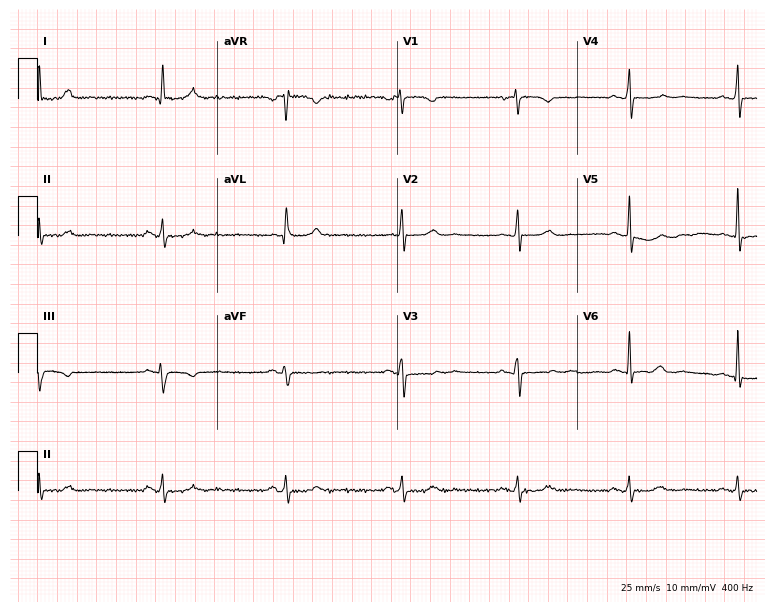
Electrocardiogram (7.3-second recording at 400 Hz), a female patient, 74 years old. Of the six screened findings (first-degree AV block, right bundle branch block (RBBB), left bundle branch block (LBBB), sinus bradycardia, atrial fibrillation (AF), sinus tachycardia), none is recorded.